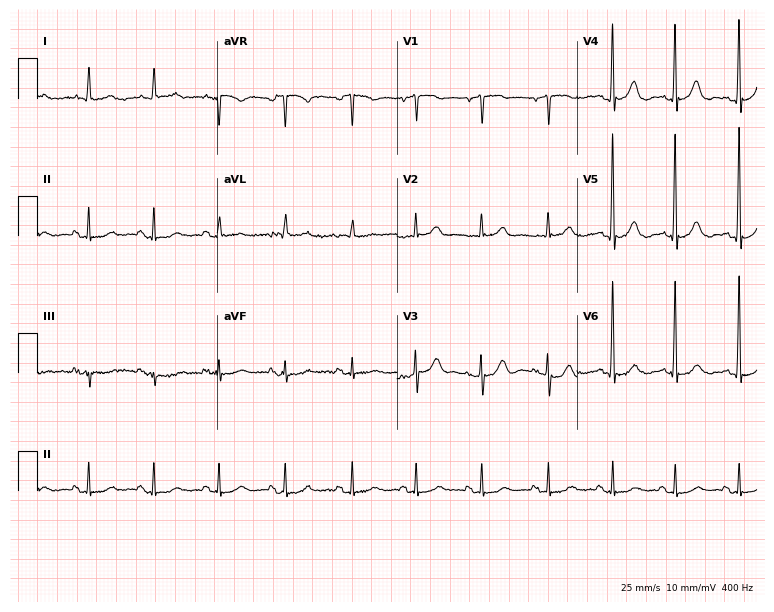
12-lead ECG from a 79-year-old female. No first-degree AV block, right bundle branch block, left bundle branch block, sinus bradycardia, atrial fibrillation or sinus tachycardia recorded for this tracing.